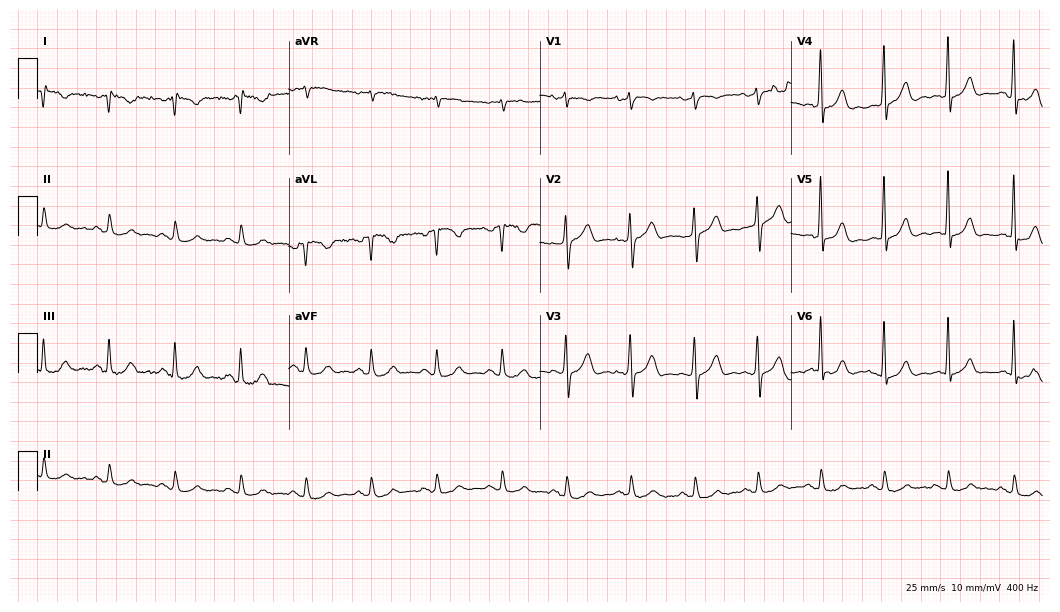
12-lead ECG from a 71-year-old man. No first-degree AV block, right bundle branch block (RBBB), left bundle branch block (LBBB), sinus bradycardia, atrial fibrillation (AF) or sinus tachycardia recorded for this tracing. Other findings, if any, are not listed.